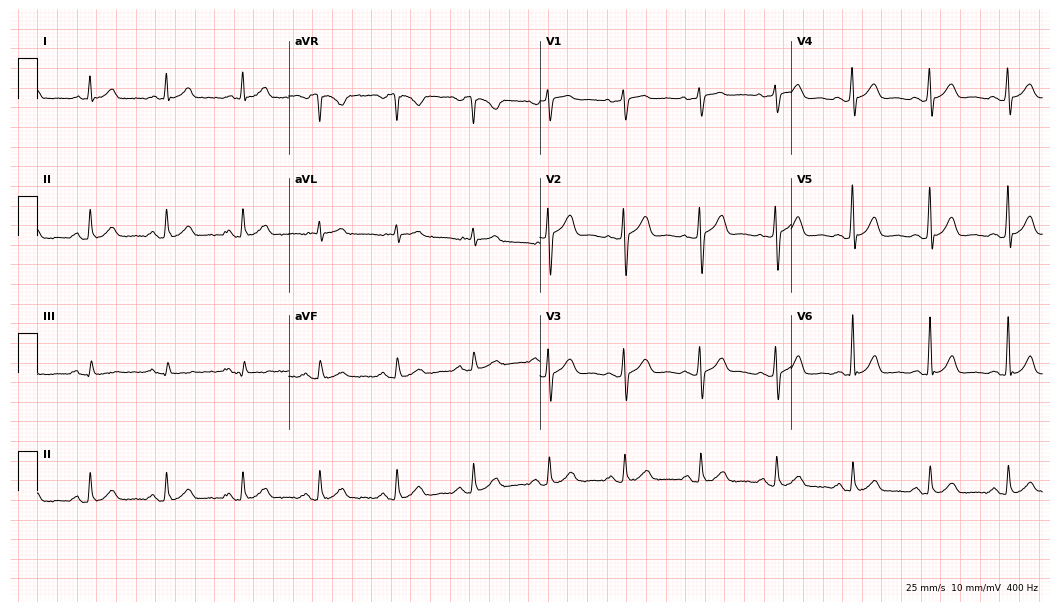
Electrocardiogram (10.2-second recording at 400 Hz), a 66-year-old male. Overall reading on record: normal ECG.